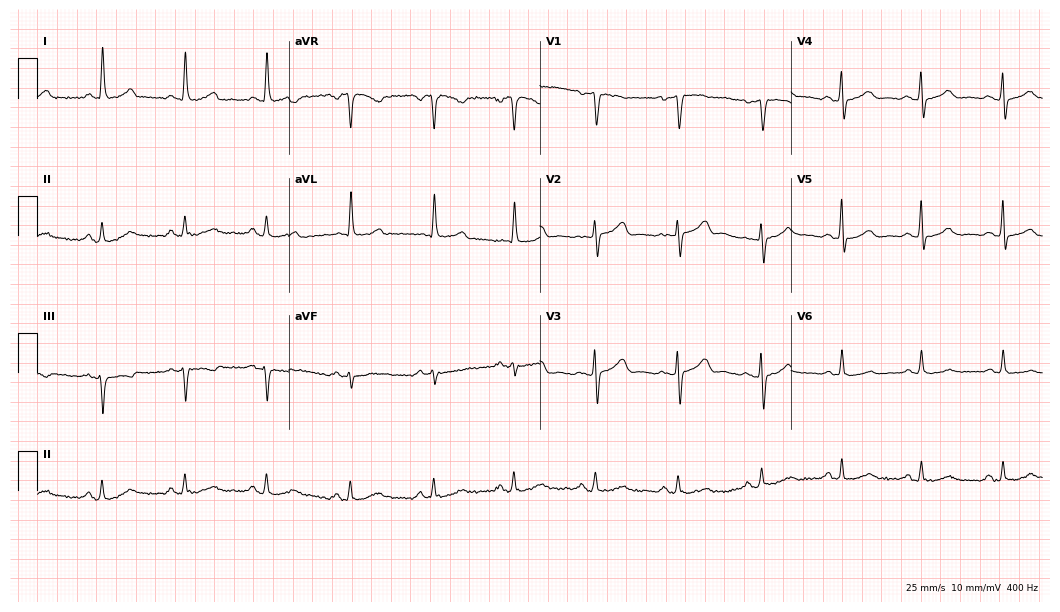
Standard 12-lead ECG recorded from a 56-year-old female. None of these six findings is recorded: first-degree AV block, right bundle branch block (RBBB), left bundle branch block (LBBB), sinus bradycardia, atrial fibrillation (AF), sinus tachycardia.